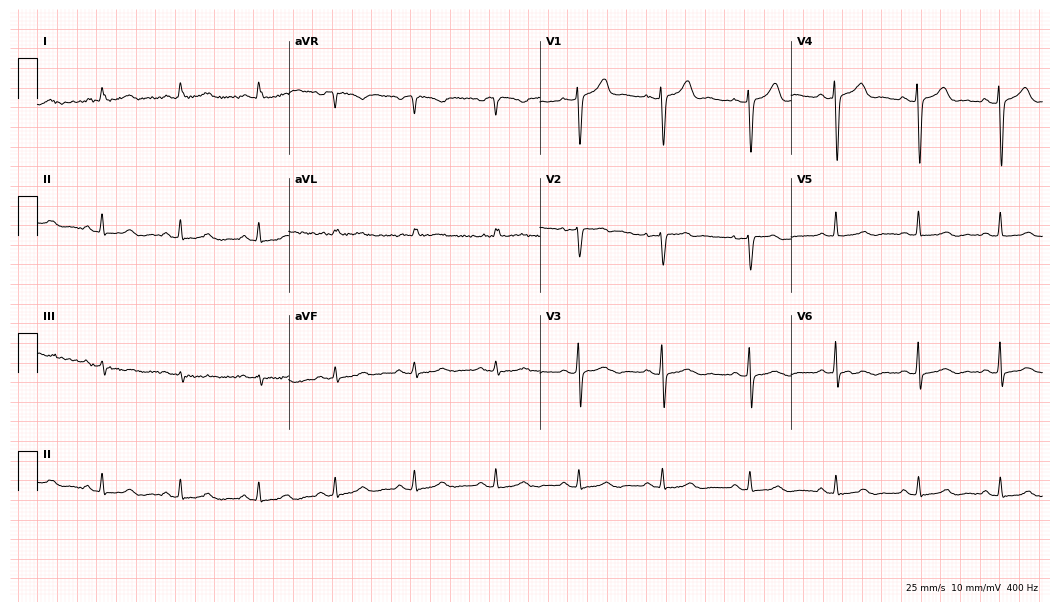
ECG (10.2-second recording at 400 Hz) — a female, 37 years old. Labelled as a normal ECG.